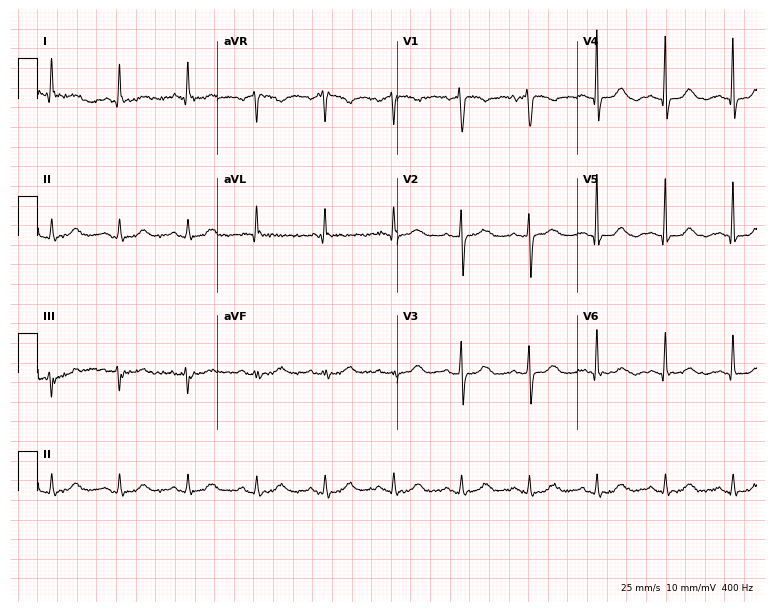
12-lead ECG from an 82-year-old woman. Screened for six findings — first-degree AV block, right bundle branch block, left bundle branch block, sinus bradycardia, atrial fibrillation, sinus tachycardia — none is recorded.